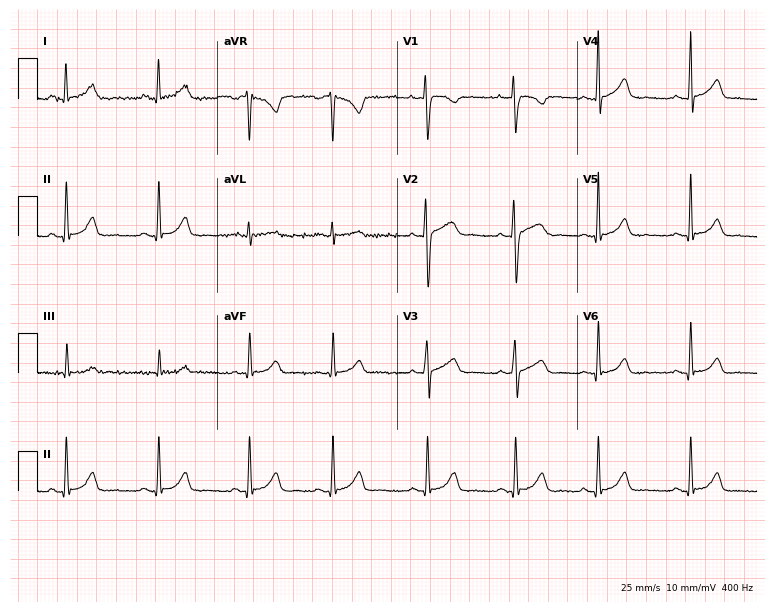
Standard 12-lead ECG recorded from a 34-year-old female patient. Read as a normal ECG.